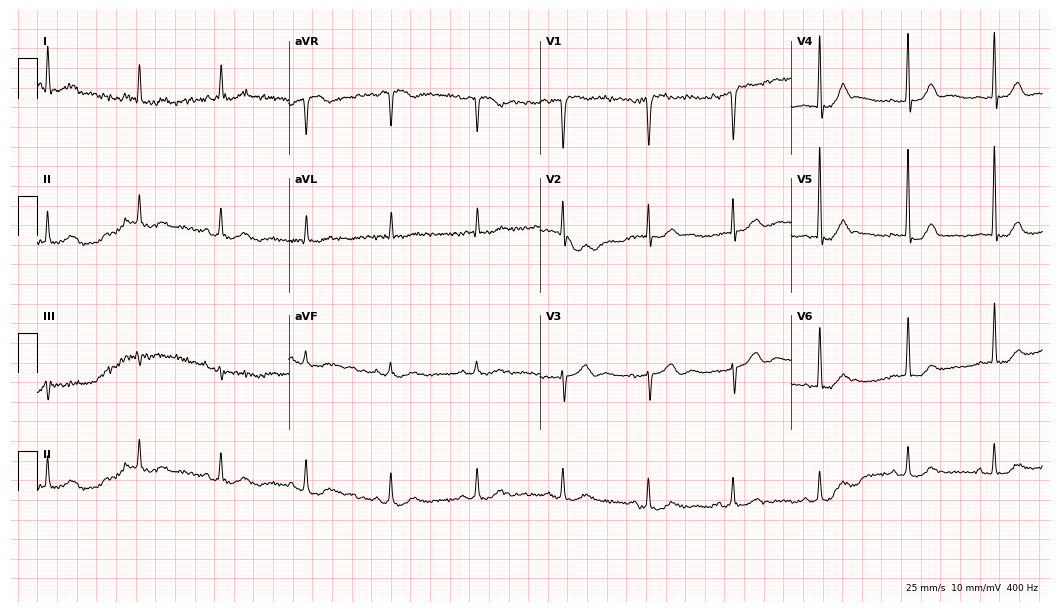
Resting 12-lead electrocardiogram. Patient: a woman, 82 years old. None of these six findings is recorded: first-degree AV block, right bundle branch block, left bundle branch block, sinus bradycardia, atrial fibrillation, sinus tachycardia.